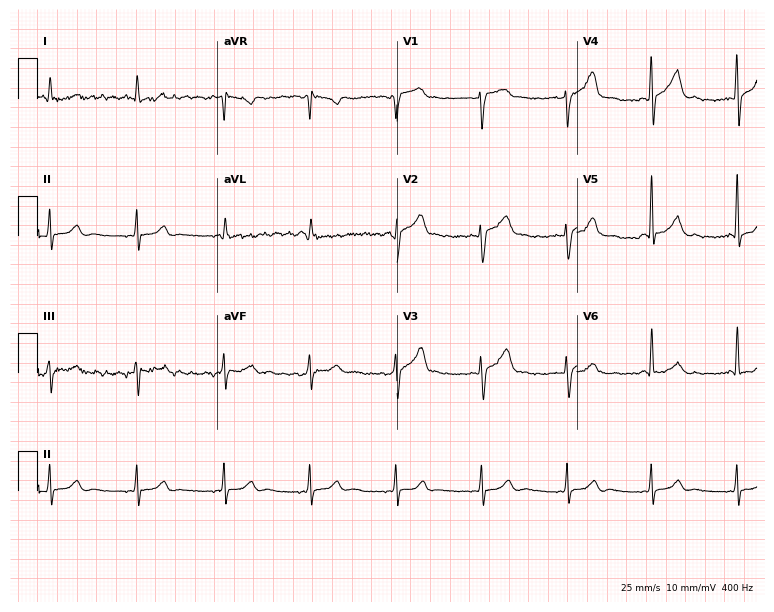
ECG — a male, 59 years old. Screened for six findings — first-degree AV block, right bundle branch block (RBBB), left bundle branch block (LBBB), sinus bradycardia, atrial fibrillation (AF), sinus tachycardia — none is recorded.